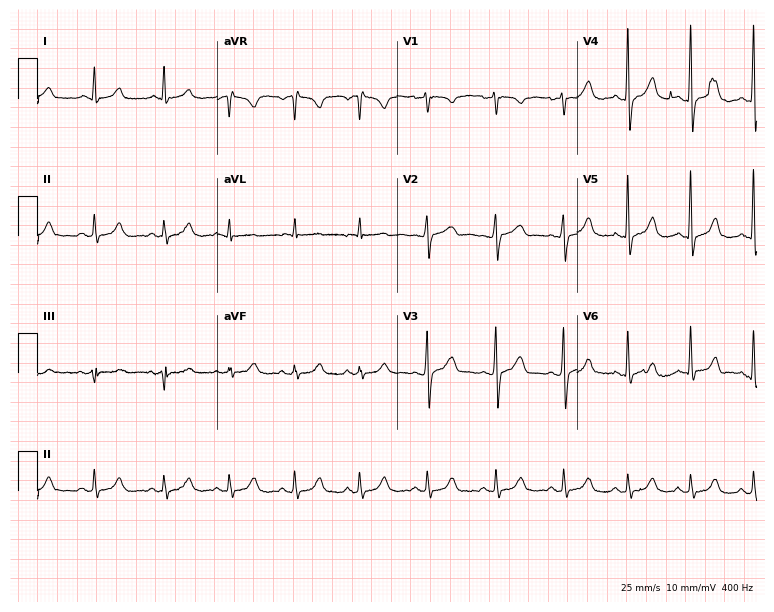
Electrocardiogram (7.3-second recording at 400 Hz), a woman, 37 years old. Overall reading on record: normal ECG.